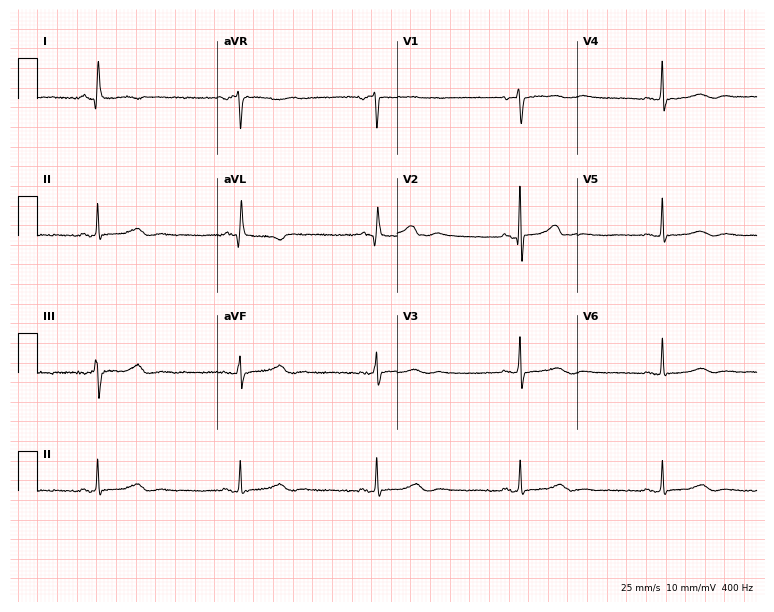
12-lead ECG from a 70-year-old female patient. Shows sinus bradycardia (a sinus rate of 50 beats per minute or less).